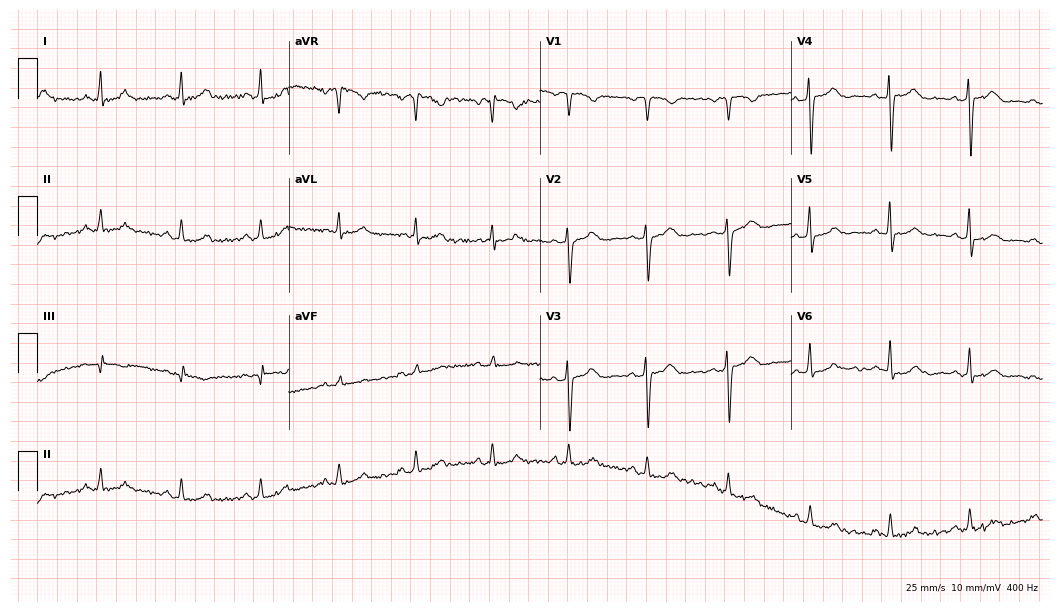
12-lead ECG from a woman, 38 years old (10.2-second recording at 400 Hz). No first-degree AV block, right bundle branch block, left bundle branch block, sinus bradycardia, atrial fibrillation or sinus tachycardia recorded for this tracing.